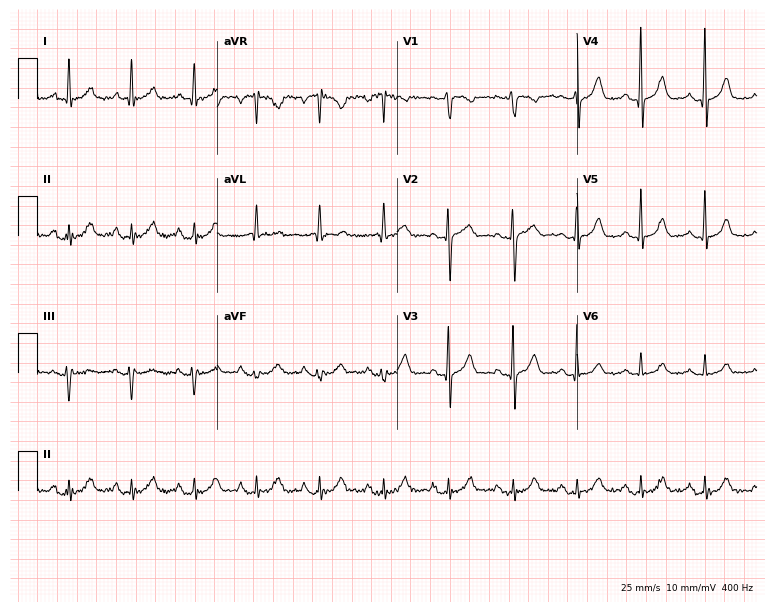
Standard 12-lead ECG recorded from a man, 75 years old. None of these six findings is recorded: first-degree AV block, right bundle branch block, left bundle branch block, sinus bradycardia, atrial fibrillation, sinus tachycardia. Findings outside these six are not listed.